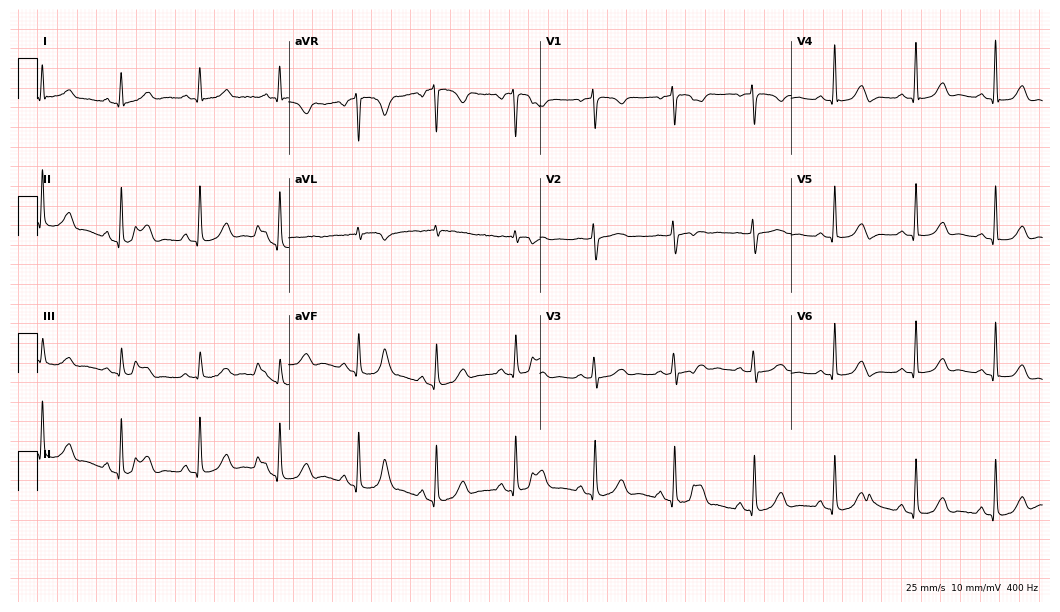
Electrocardiogram, a female, 61 years old. Overall reading on record: normal ECG.